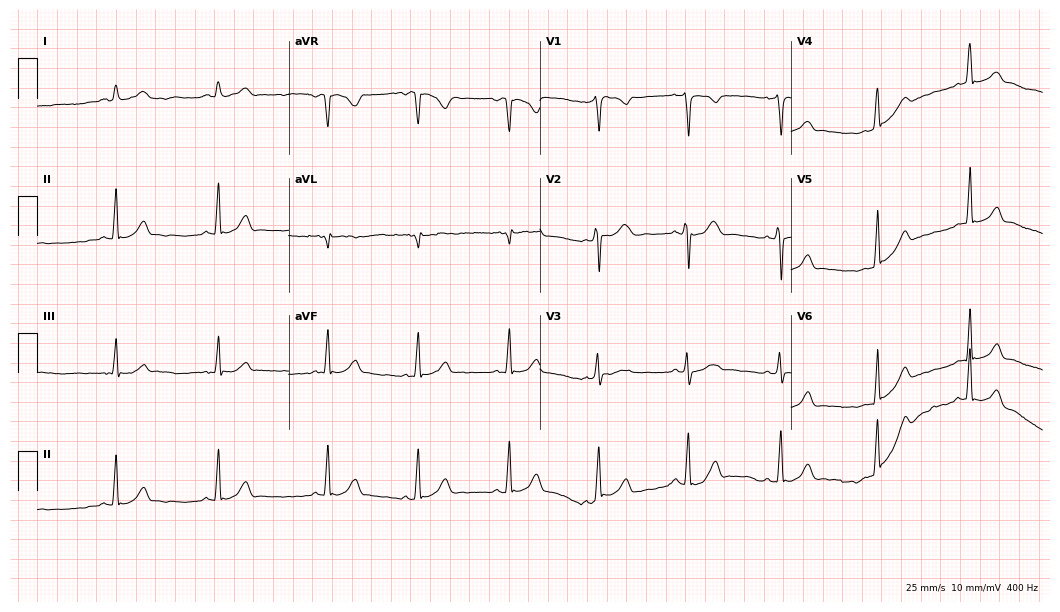
ECG (10.2-second recording at 400 Hz) — a female, 19 years old. Labelled as a normal ECG.